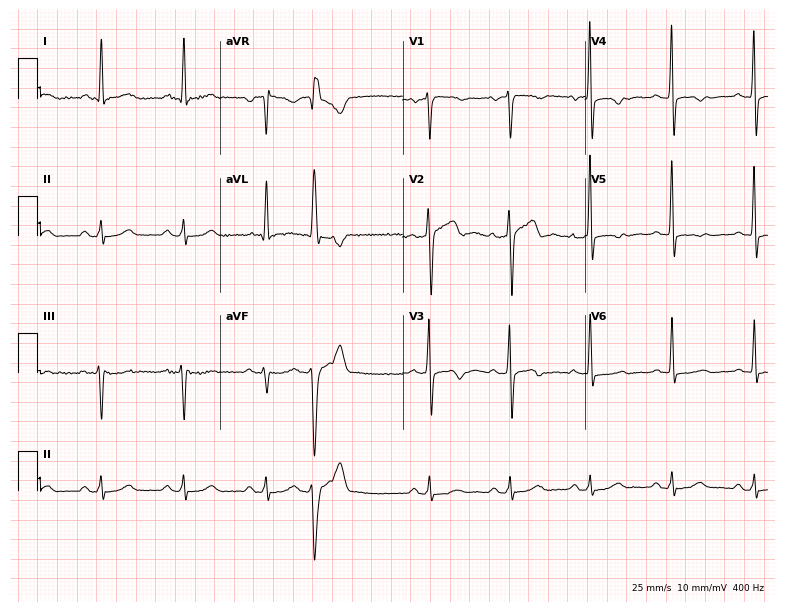
ECG (7.4-second recording at 400 Hz) — a 62-year-old male patient. Screened for six findings — first-degree AV block, right bundle branch block (RBBB), left bundle branch block (LBBB), sinus bradycardia, atrial fibrillation (AF), sinus tachycardia — none is recorded. Findings outside these six are not listed.